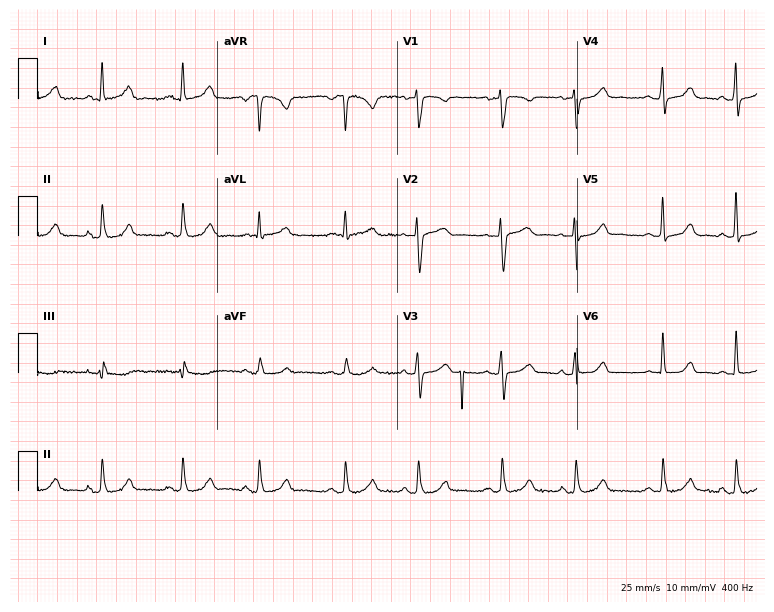
Electrocardiogram (7.3-second recording at 400 Hz), a woman, 39 years old. Overall reading on record: normal ECG.